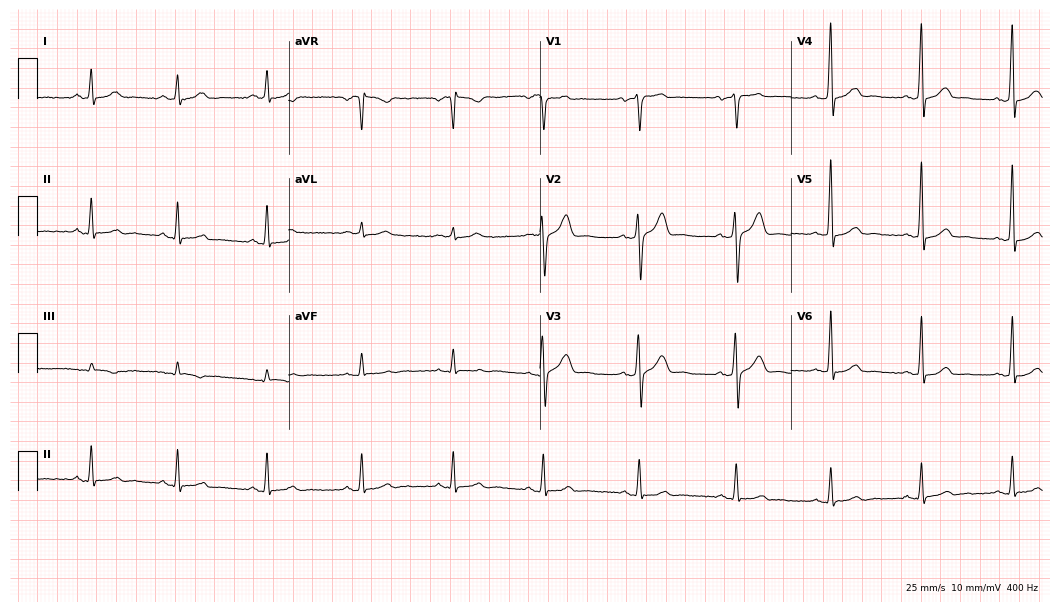
Resting 12-lead electrocardiogram. Patient: a woman, 70 years old. Read as a normal ECG.